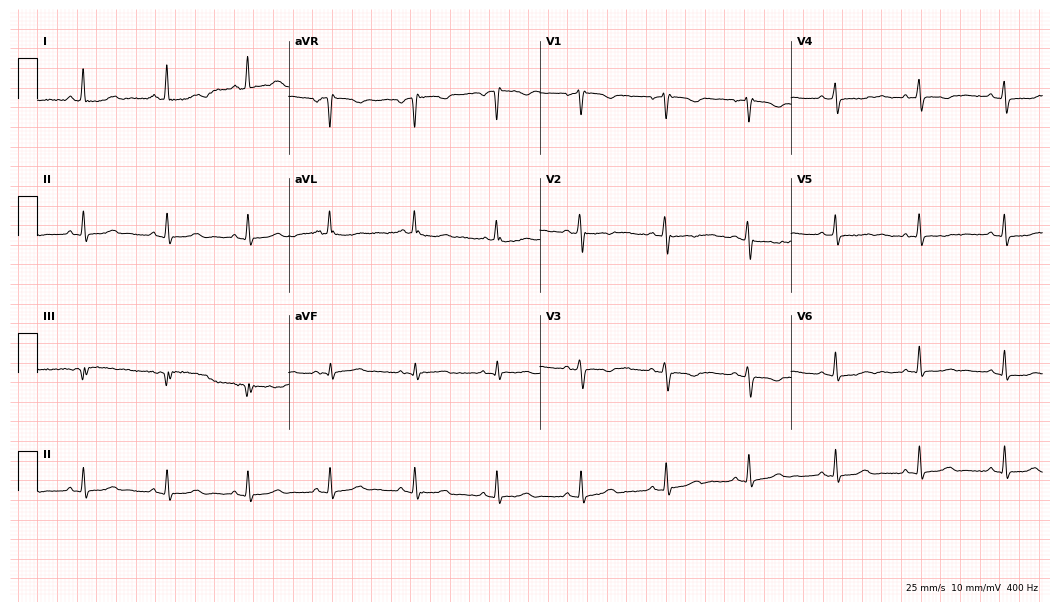
Standard 12-lead ECG recorded from a 66-year-old woman (10.2-second recording at 400 Hz). None of these six findings is recorded: first-degree AV block, right bundle branch block (RBBB), left bundle branch block (LBBB), sinus bradycardia, atrial fibrillation (AF), sinus tachycardia.